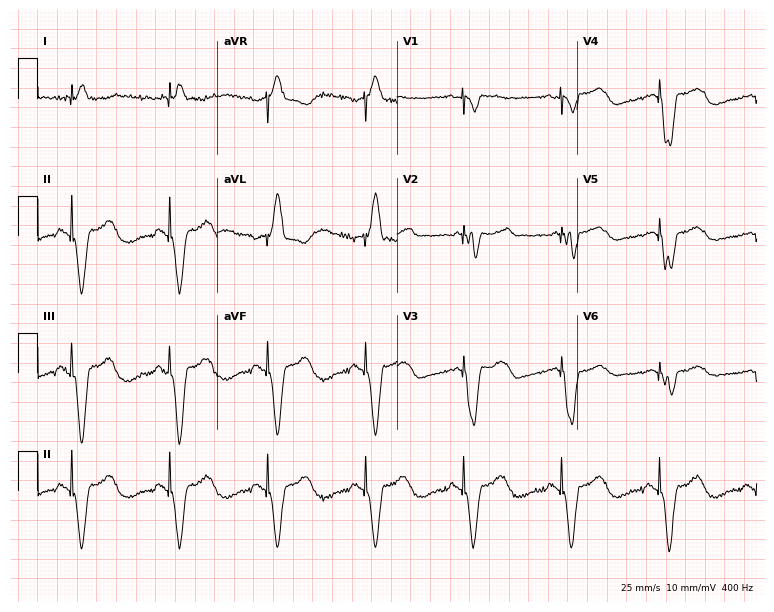
12-lead ECG from a woman, 61 years old. No first-degree AV block, right bundle branch block (RBBB), left bundle branch block (LBBB), sinus bradycardia, atrial fibrillation (AF) or sinus tachycardia recorded for this tracing.